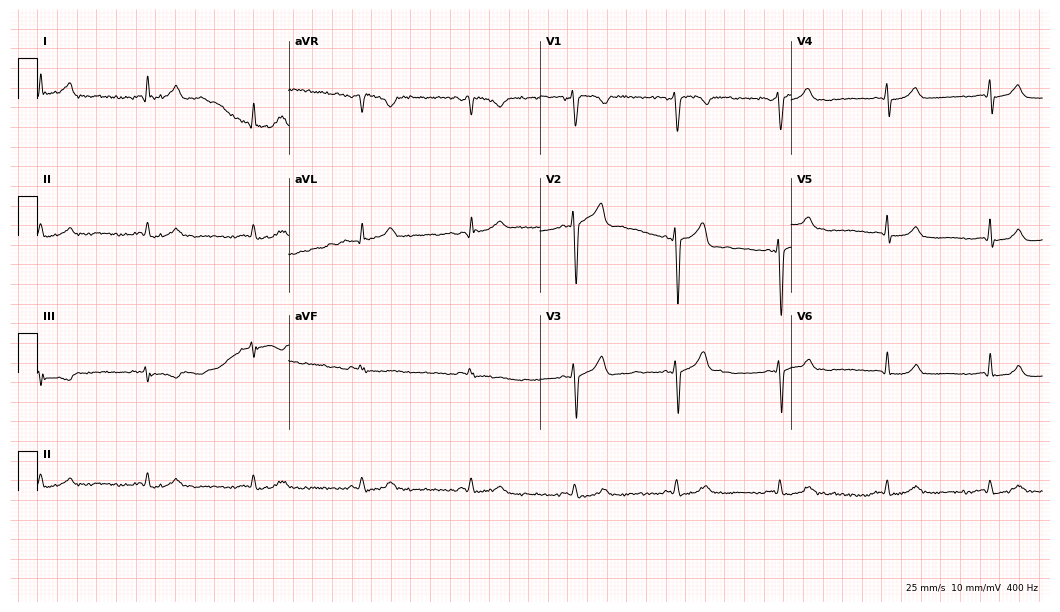
Resting 12-lead electrocardiogram. Patient: a male, 42 years old. Read as a normal ECG.